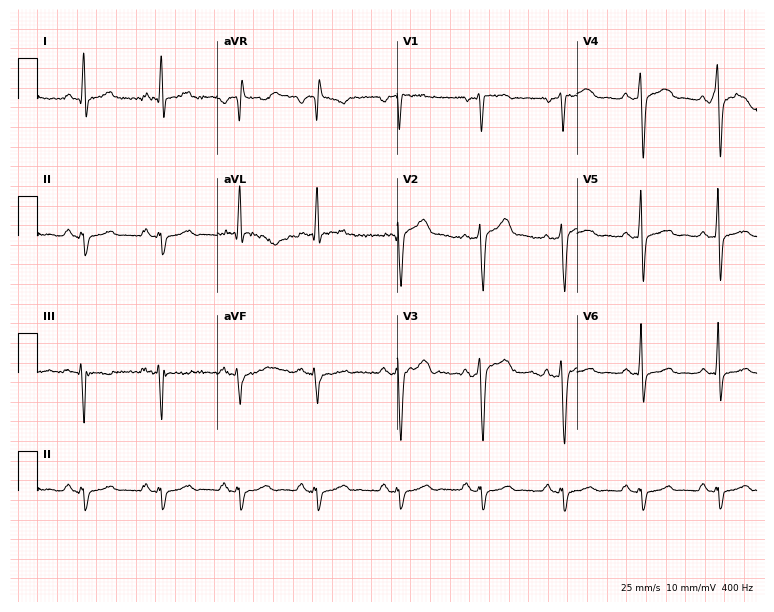
Resting 12-lead electrocardiogram. Patient: a male, 44 years old. None of these six findings is recorded: first-degree AV block, right bundle branch block, left bundle branch block, sinus bradycardia, atrial fibrillation, sinus tachycardia. Other findings, if any, are not listed.